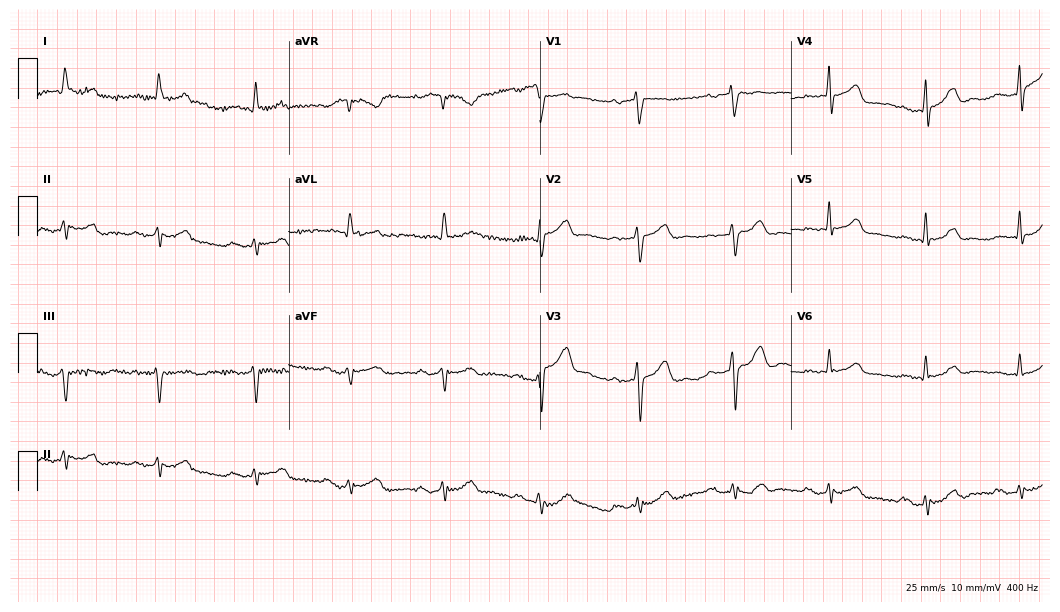
12-lead ECG from a 77-year-old female. No first-degree AV block, right bundle branch block, left bundle branch block, sinus bradycardia, atrial fibrillation or sinus tachycardia recorded for this tracing.